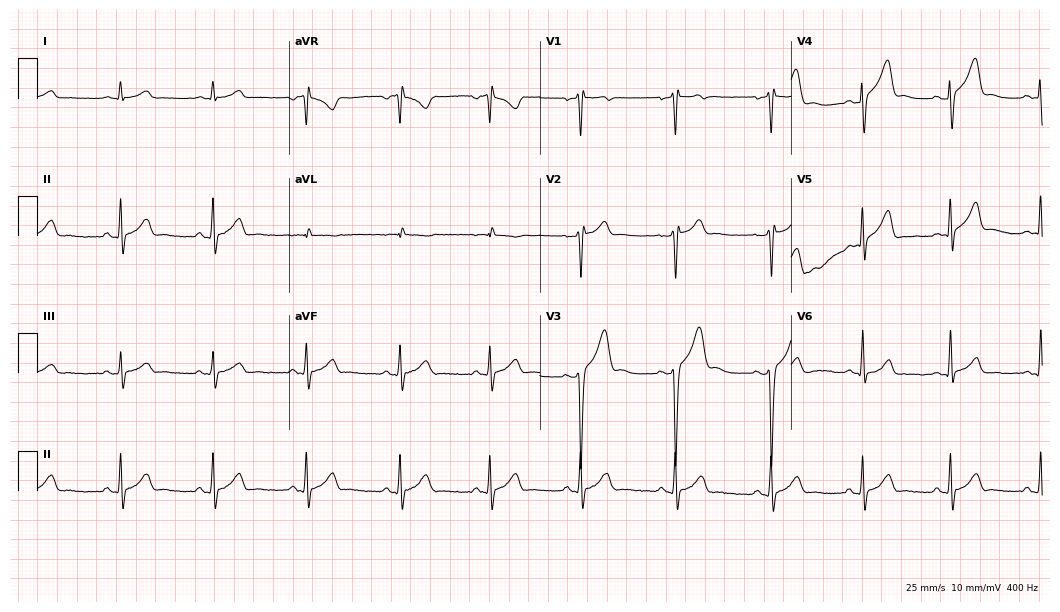
Resting 12-lead electrocardiogram (10.2-second recording at 400 Hz). Patient: a 33-year-old man. Read as a normal ECG.